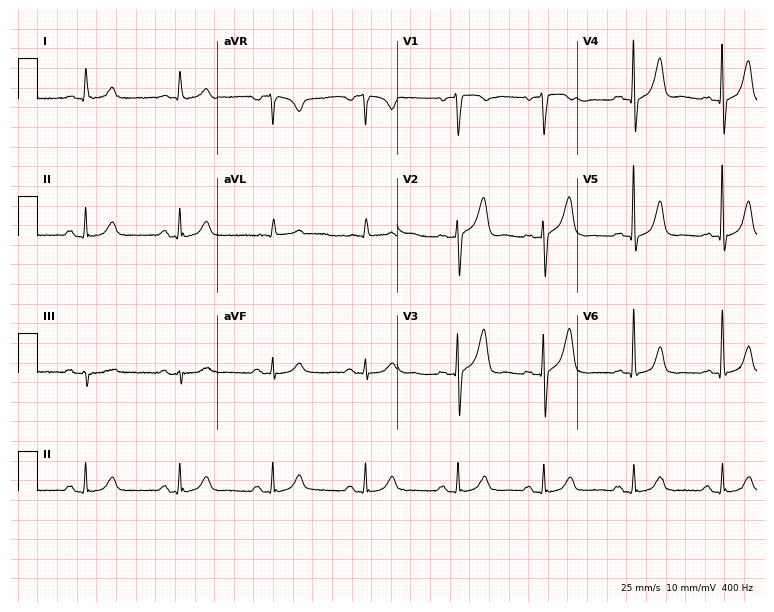
Electrocardiogram (7.3-second recording at 400 Hz), a 65-year-old male patient. Of the six screened findings (first-degree AV block, right bundle branch block, left bundle branch block, sinus bradycardia, atrial fibrillation, sinus tachycardia), none is recorded. Findings outside these six are not listed.